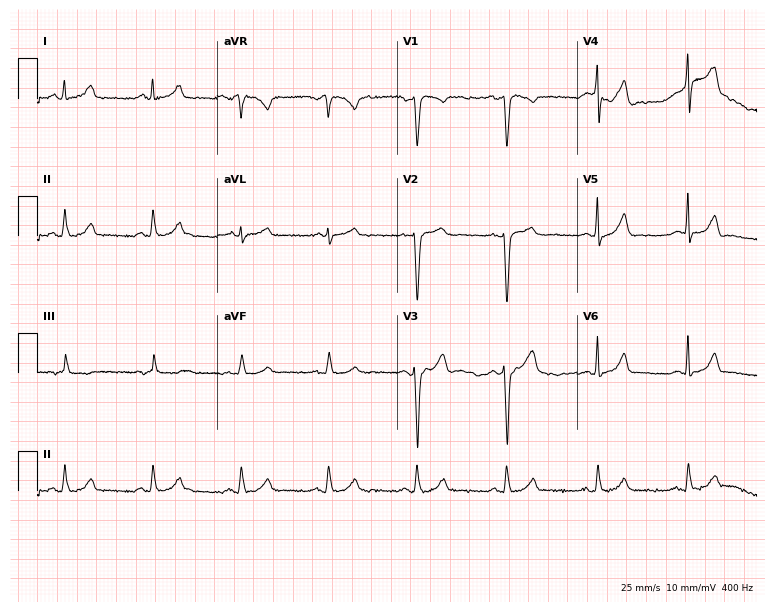
12-lead ECG from a man, 54 years old (7.3-second recording at 400 Hz). Recorded interpretation: within normal limits.